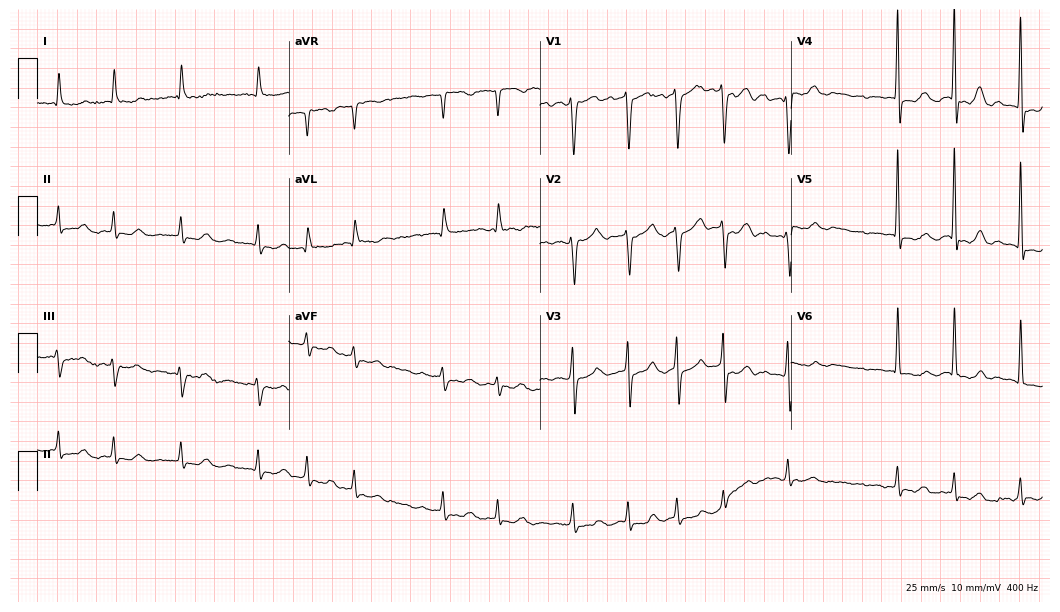
12-lead ECG from a female, 72 years old. Findings include atrial fibrillation.